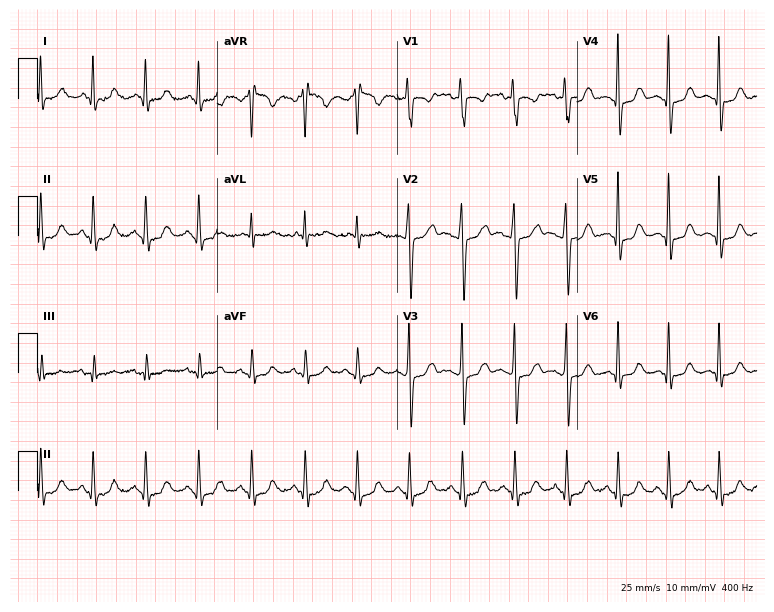
Resting 12-lead electrocardiogram (7.3-second recording at 400 Hz). Patient: a 33-year-old female. The tracing shows sinus tachycardia (a sinus rate of 100 beats per minute or more).